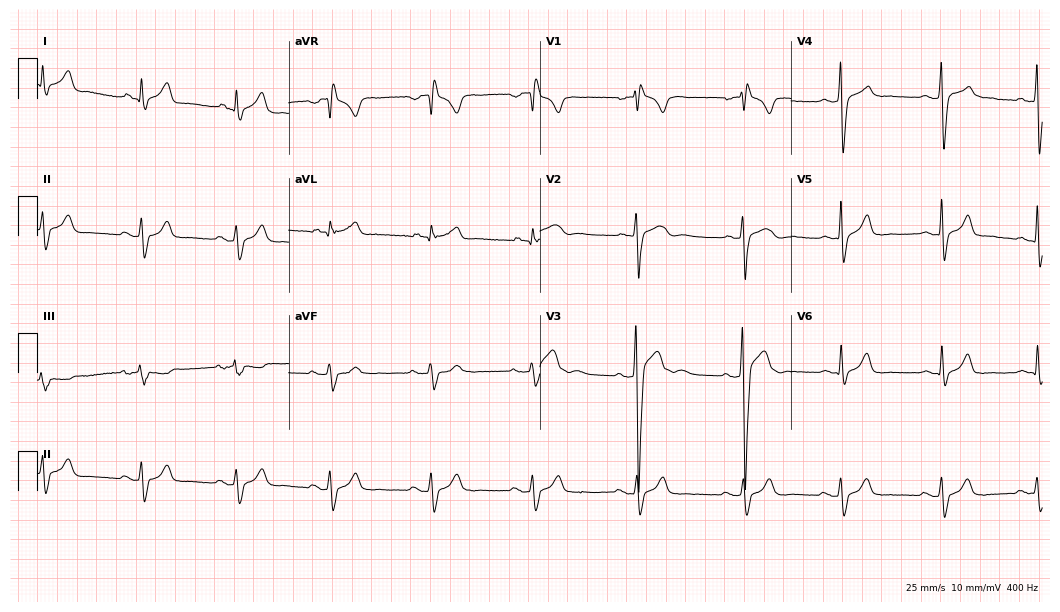
ECG (10.2-second recording at 400 Hz) — a 26-year-old male. Findings include right bundle branch block.